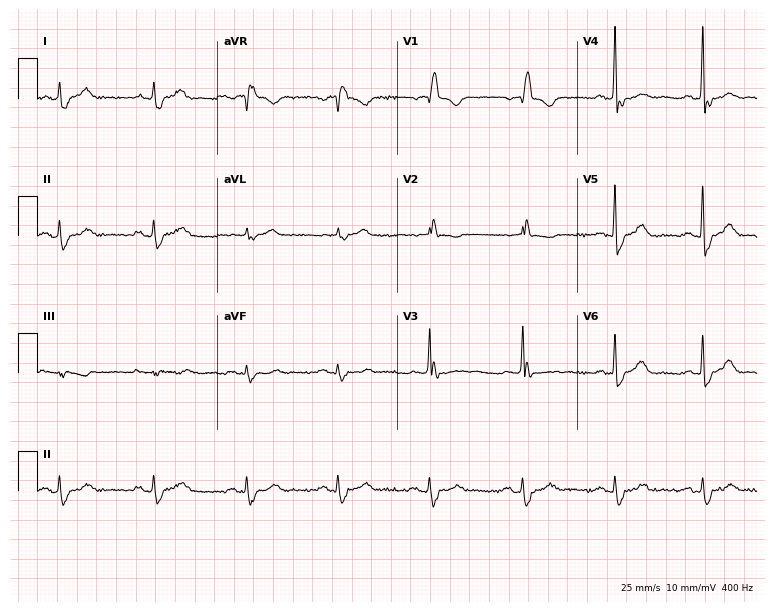
12-lead ECG from an 81-year-old man. Shows right bundle branch block.